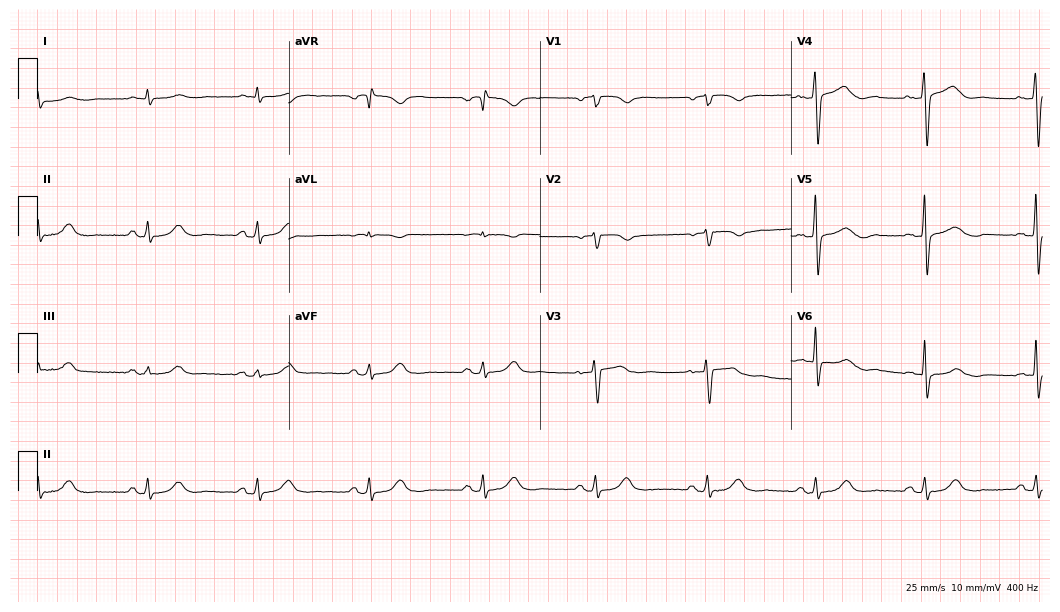
12-lead ECG (10.2-second recording at 400 Hz) from a 67-year-old male. Labelled as a normal ECG.